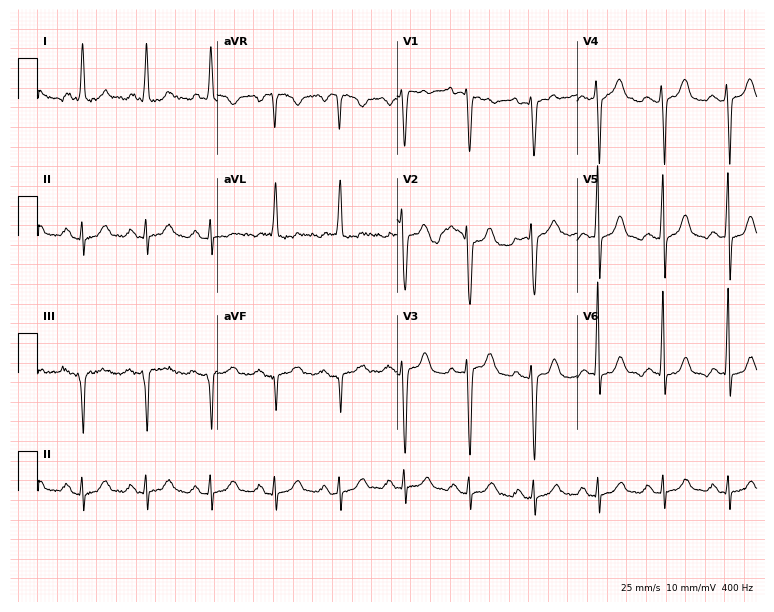
Electrocardiogram (7.3-second recording at 400 Hz), a female patient, 53 years old. Overall reading on record: normal ECG.